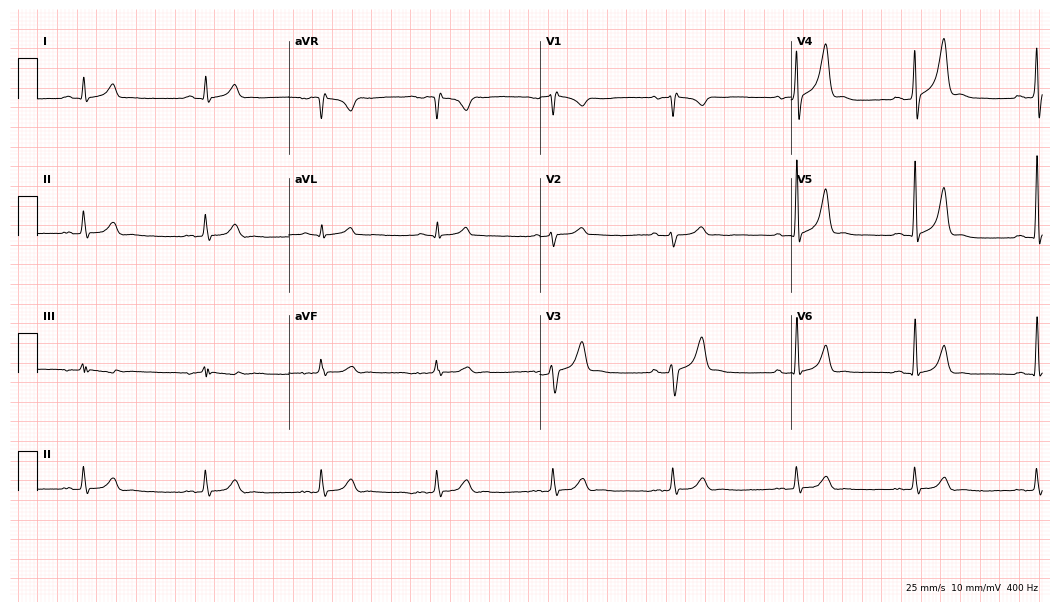
12-lead ECG (10.2-second recording at 400 Hz) from a 61-year-old male. Screened for six findings — first-degree AV block, right bundle branch block, left bundle branch block, sinus bradycardia, atrial fibrillation, sinus tachycardia — none is recorded. Other findings, if any, are not listed.